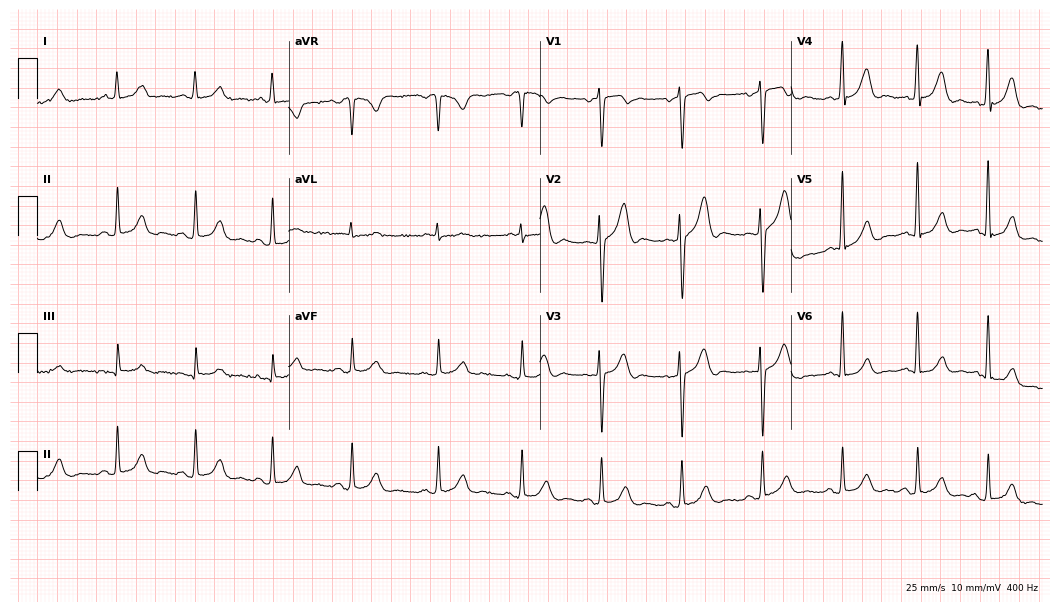
12-lead ECG from a 37-year-old male (10.2-second recording at 400 Hz). No first-degree AV block, right bundle branch block, left bundle branch block, sinus bradycardia, atrial fibrillation or sinus tachycardia recorded for this tracing.